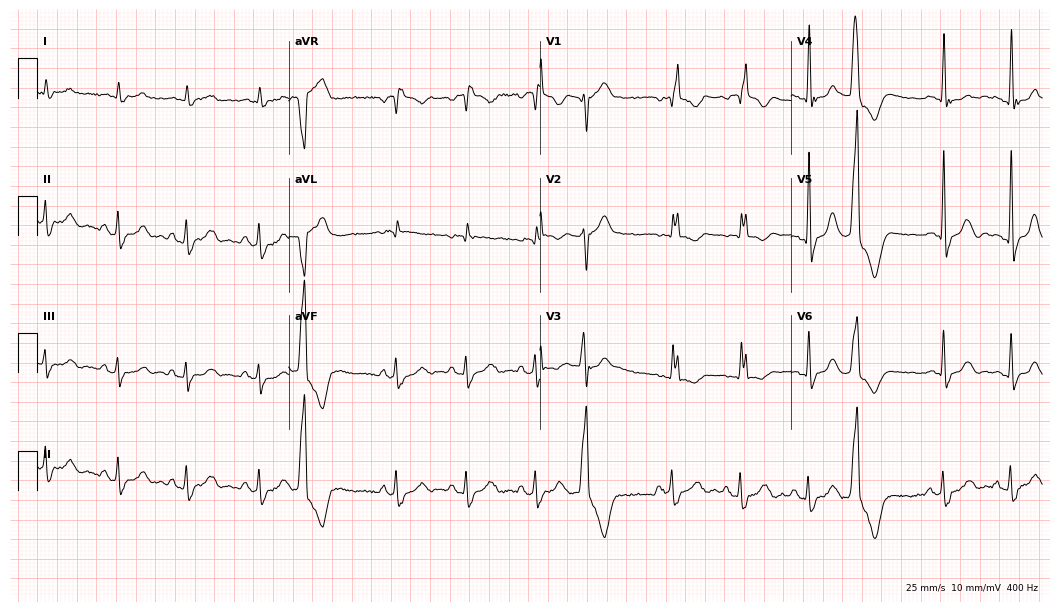
Resting 12-lead electrocardiogram (10.2-second recording at 400 Hz). Patient: a female, 74 years old. None of these six findings is recorded: first-degree AV block, right bundle branch block, left bundle branch block, sinus bradycardia, atrial fibrillation, sinus tachycardia.